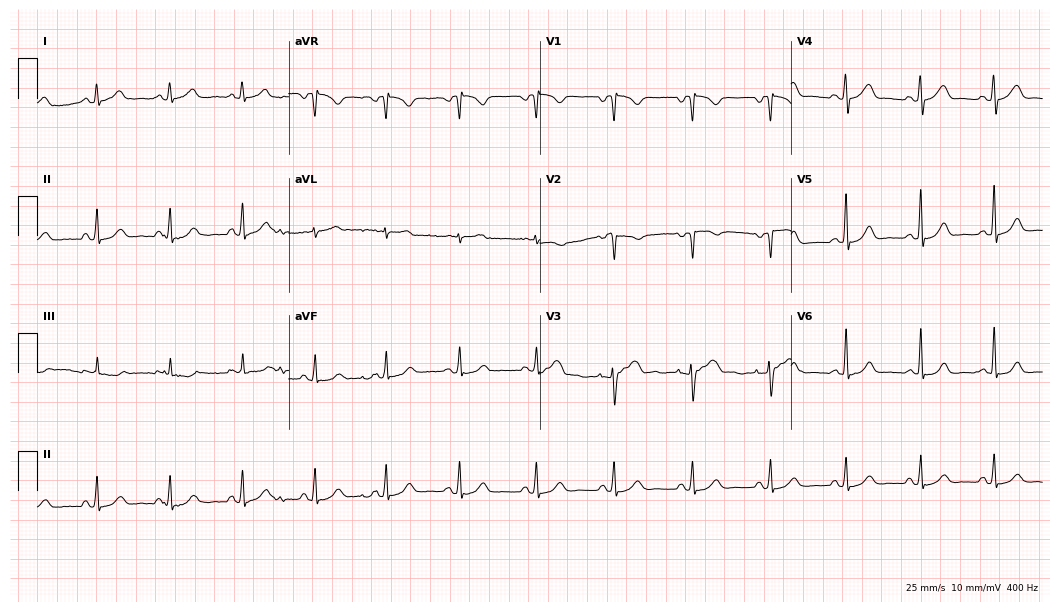
12-lead ECG from a female, 40 years old. Labelled as a normal ECG.